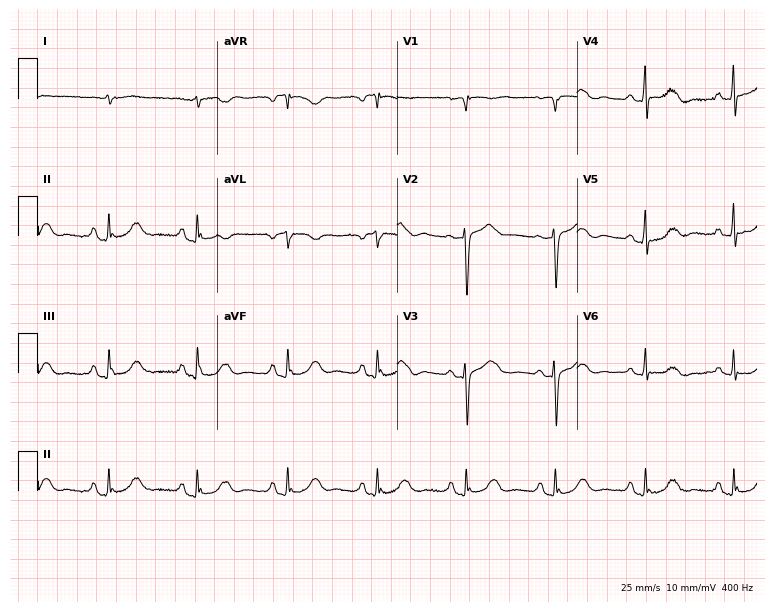
ECG (7.3-second recording at 400 Hz) — a man, 75 years old. Screened for six findings — first-degree AV block, right bundle branch block (RBBB), left bundle branch block (LBBB), sinus bradycardia, atrial fibrillation (AF), sinus tachycardia — none is recorded.